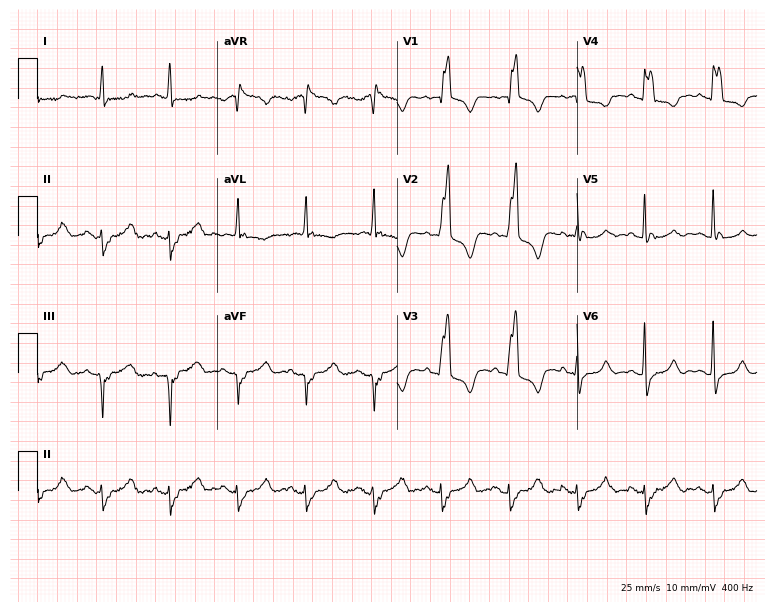
12-lead ECG (7.3-second recording at 400 Hz) from a 66-year-old female. Findings include right bundle branch block.